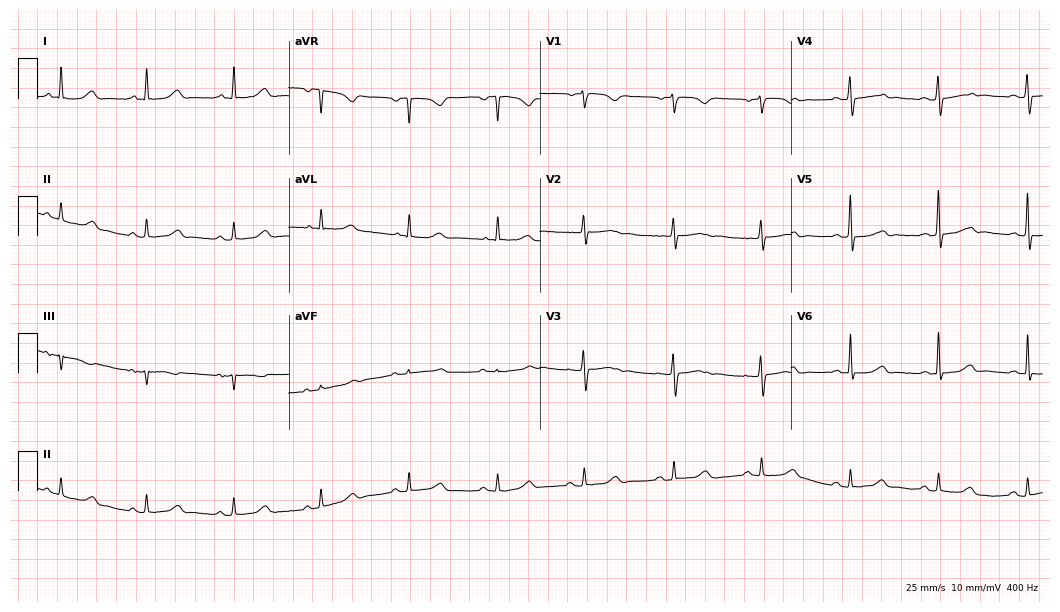
ECG (10.2-second recording at 400 Hz) — a 54-year-old female. Labelled as a normal ECG.